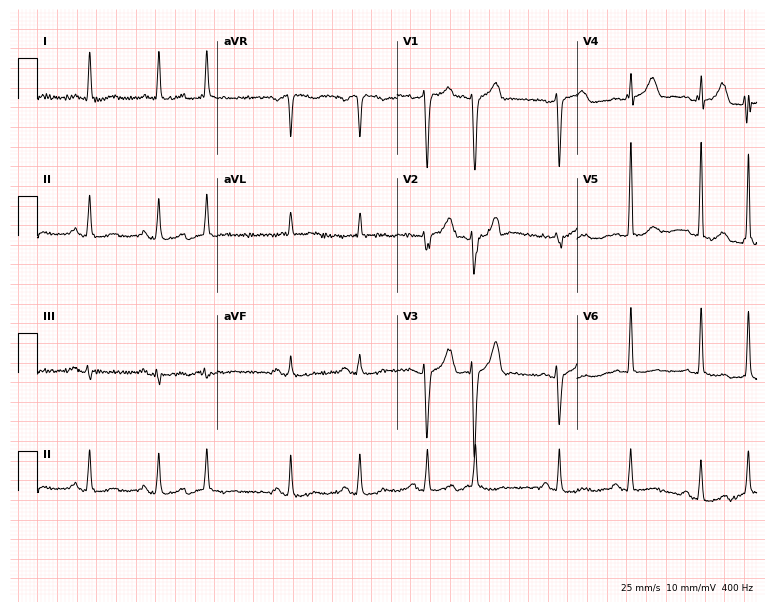
Standard 12-lead ECG recorded from a 78-year-old male patient. None of these six findings is recorded: first-degree AV block, right bundle branch block (RBBB), left bundle branch block (LBBB), sinus bradycardia, atrial fibrillation (AF), sinus tachycardia. Findings outside these six are not listed.